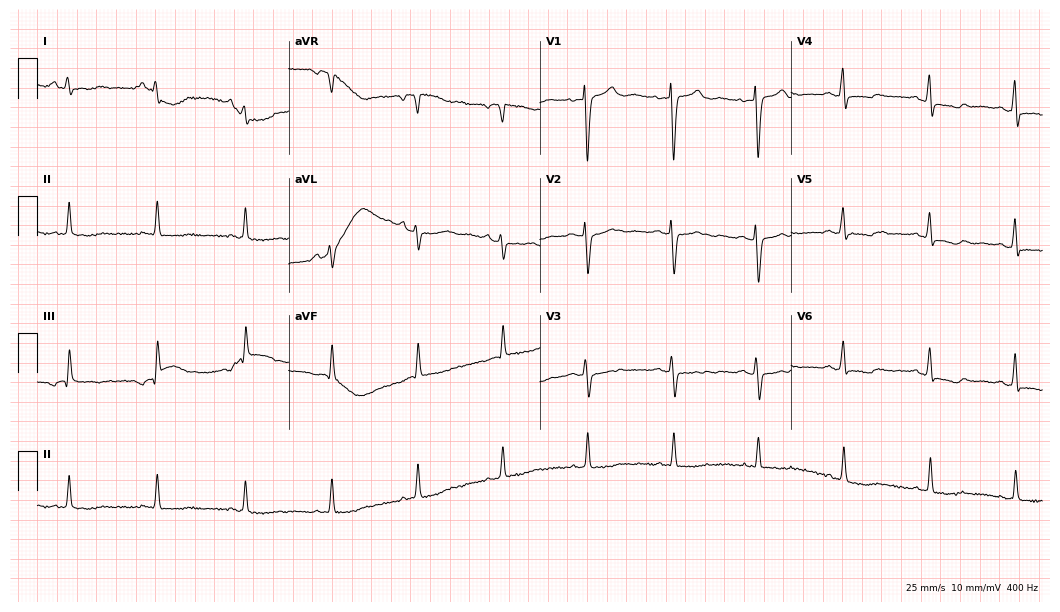
12-lead ECG from a 69-year-old female. Screened for six findings — first-degree AV block, right bundle branch block, left bundle branch block, sinus bradycardia, atrial fibrillation, sinus tachycardia — none is recorded. Findings outside these six are not listed.